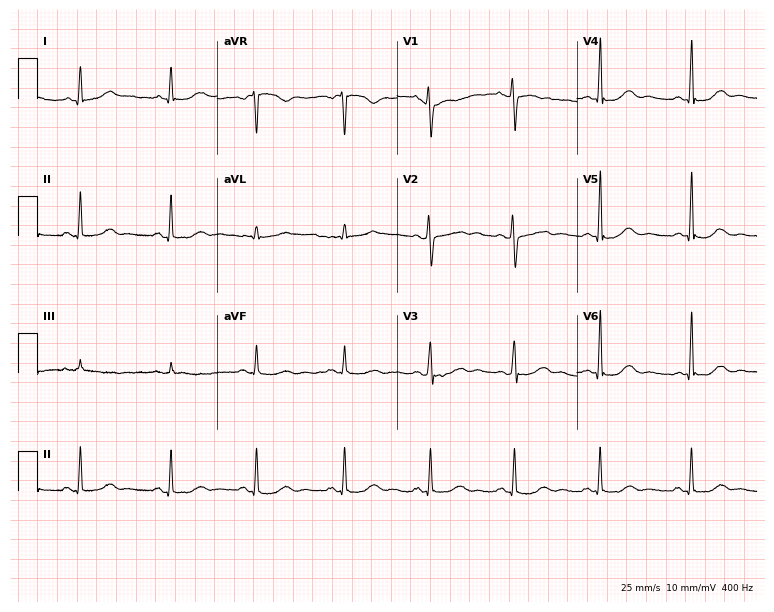
12-lead ECG (7.3-second recording at 400 Hz) from a woman, 46 years old. Labelled as a normal ECG.